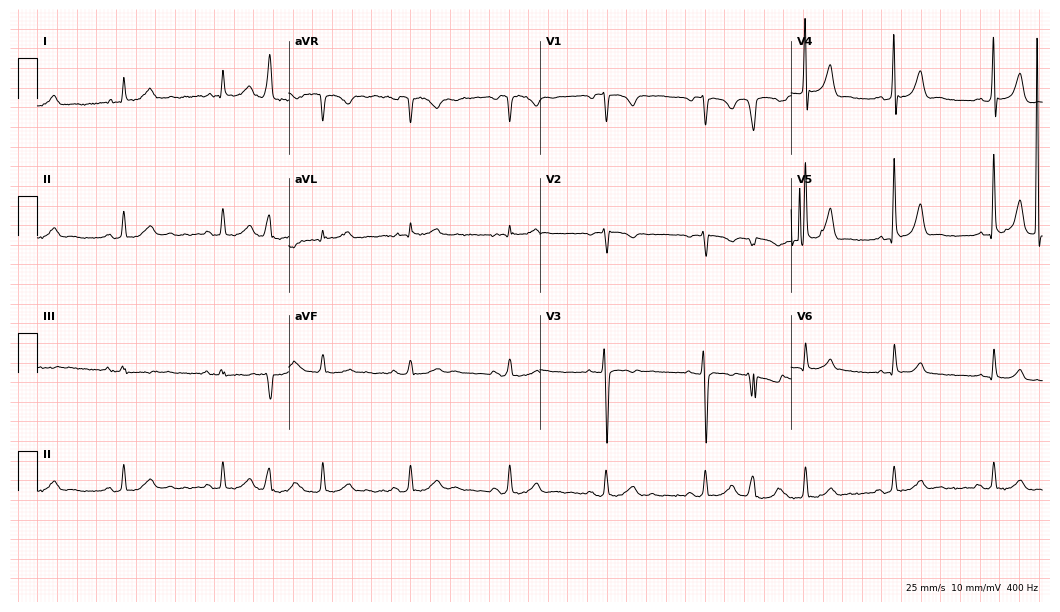
12-lead ECG from a male, 84 years old. Screened for six findings — first-degree AV block, right bundle branch block, left bundle branch block, sinus bradycardia, atrial fibrillation, sinus tachycardia — none is recorded. Findings outside these six are not listed.